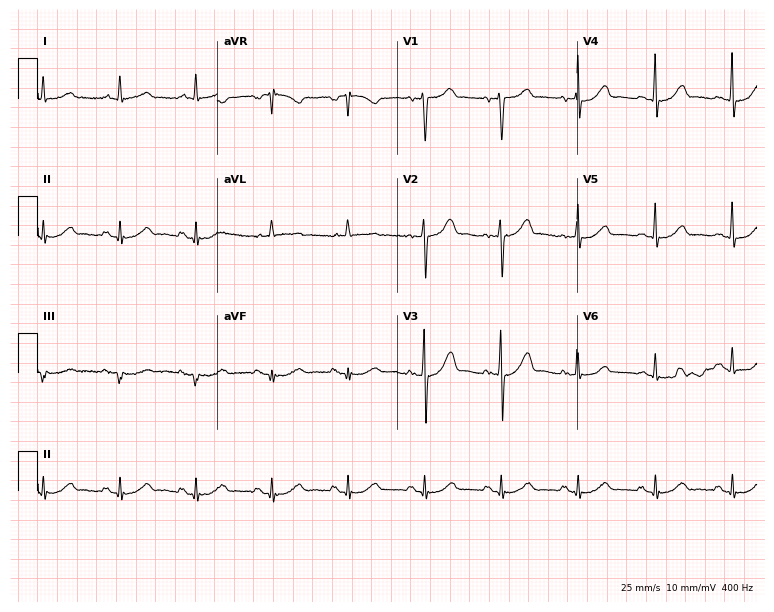
Standard 12-lead ECG recorded from a female patient, 76 years old (7.3-second recording at 400 Hz). None of these six findings is recorded: first-degree AV block, right bundle branch block, left bundle branch block, sinus bradycardia, atrial fibrillation, sinus tachycardia.